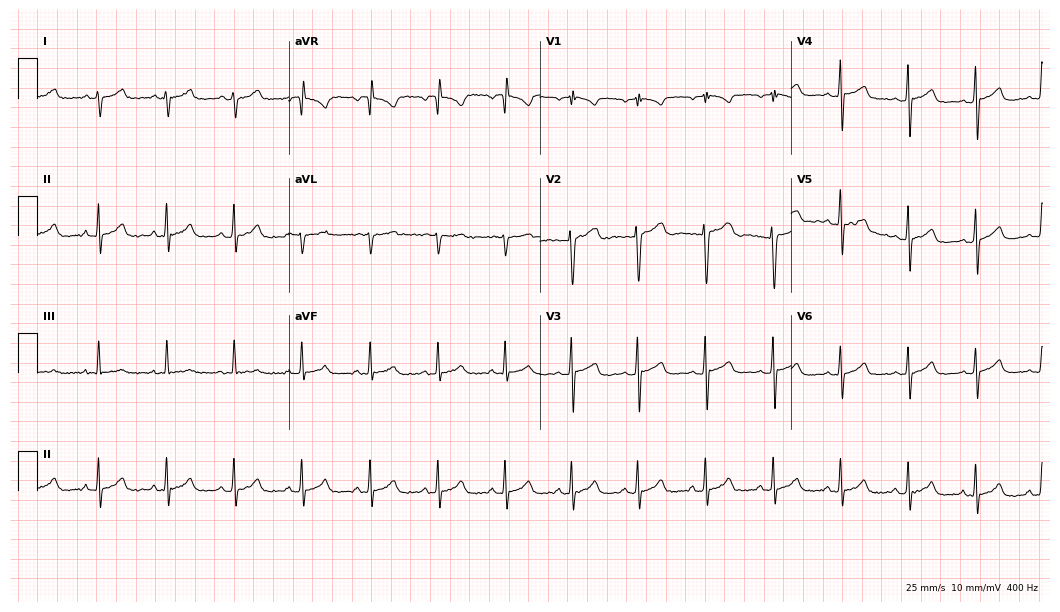
Standard 12-lead ECG recorded from a 21-year-old woman (10.2-second recording at 400 Hz). None of these six findings is recorded: first-degree AV block, right bundle branch block (RBBB), left bundle branch block (LBBB), sinus bradycardia, atrial fibrillation (AF), sinus tachycardia. Findings outside these six are not listed.